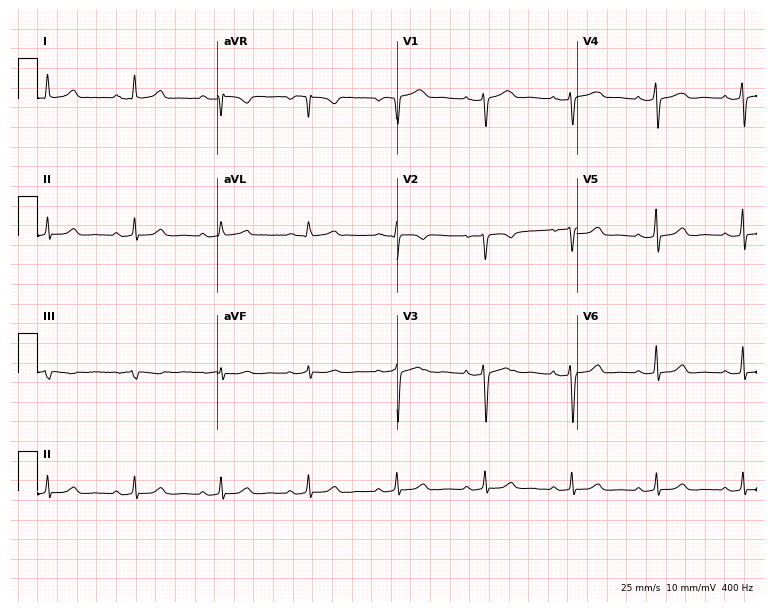
Electrocardiogram (7.3-second recording at 400 Hz), a 46-year-old female patient. Of the six screened findings (first-degree AV block, right bundle branch block (RBBB), left bundle branch block (LBBB), sinus bradycardia, atrial fibrillation (AF), sinus tachycardia), none is recorded.